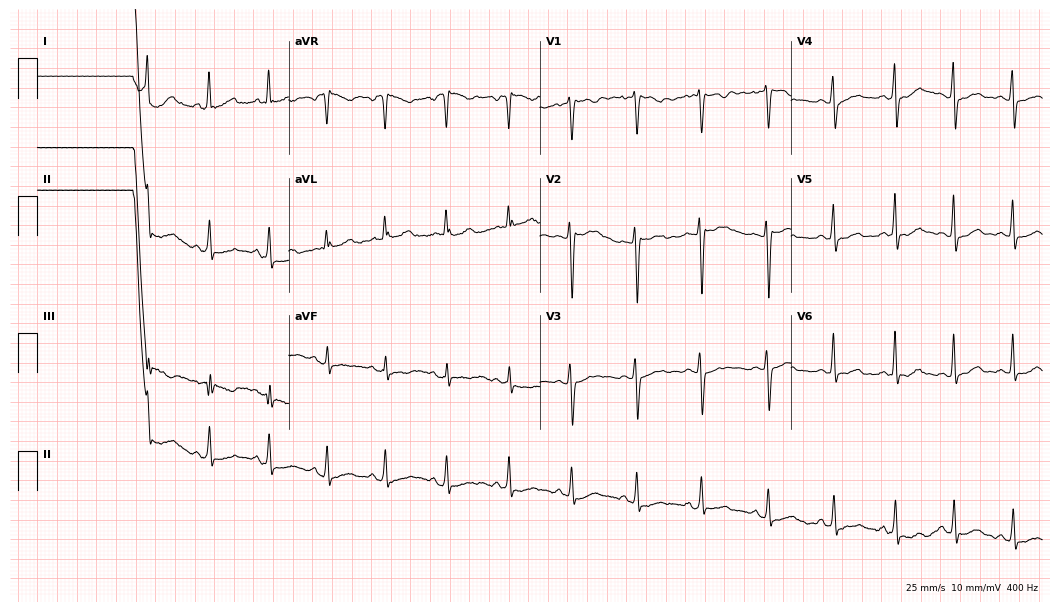
12-lead ECG (10.2-second recording at 400 Hz) from a female patient, 20 years old. Labelled as a normal ECG.